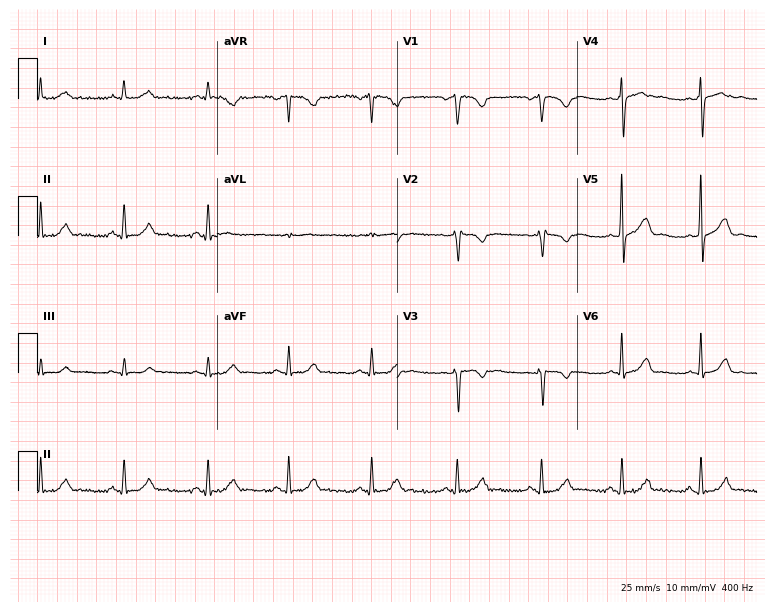
Standard 12-lead ECG recorded from a 42-year-old female patient (7.3-second recording at 400 Hz). Read as a normal ECG.